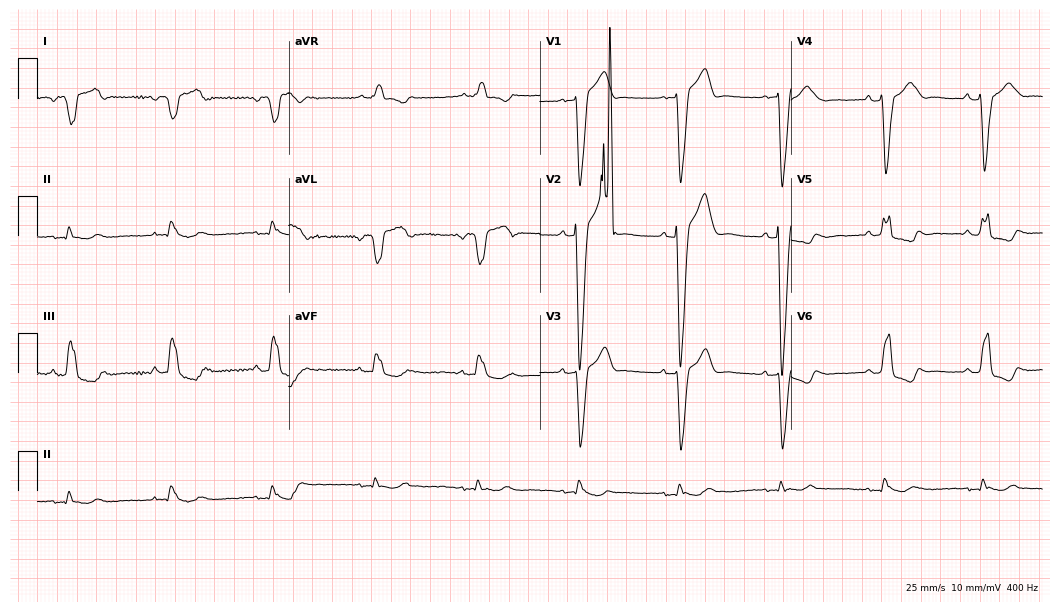
Standard 12-lead ECG recorded from a man, 67 years old. The tracing shows left bundle branch block (LBBB).